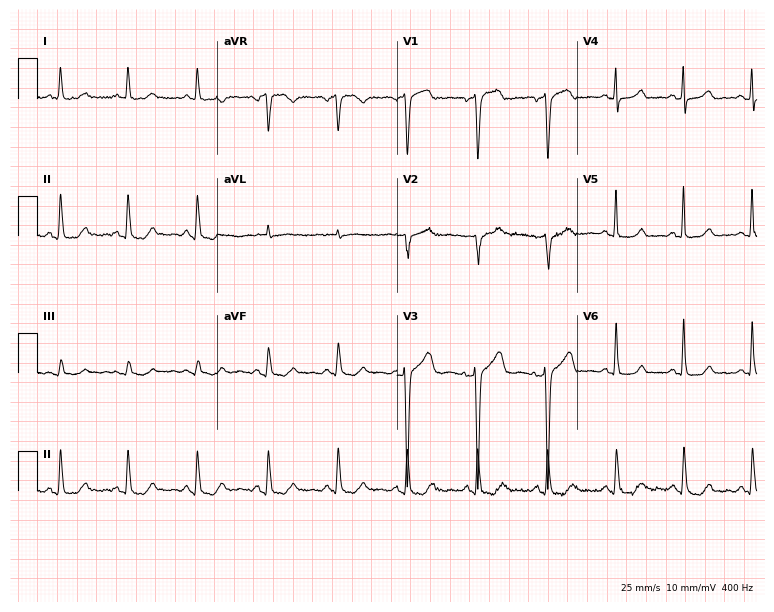
ECG — a 56-year-old female. Screened for six findings — first-degree AV block, right bundle branch block (RBBB), left bundle branch block (LBBB), sinus bradycardia, atrial fibrillation (AF), sinus tachycardia — none is recorded.